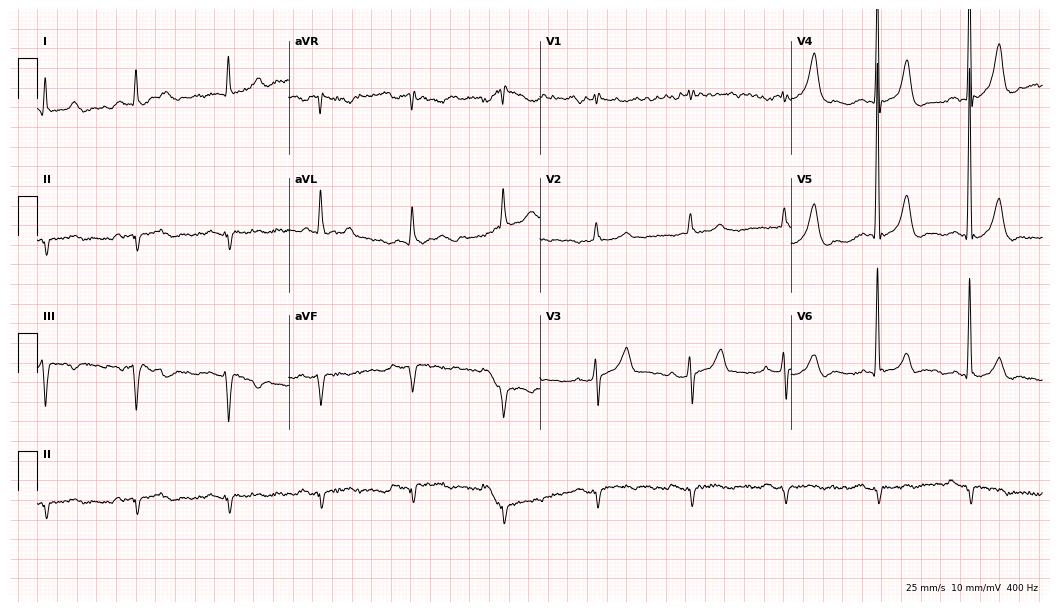
12-lead ECG from a male patient, 78 years old (10.2-second recording at 400 Hz). No first-degree AV block, right bundle branch block, left bundle branch block, sinus bradycardia, atrial fibrillation or sinus tachycardia recorded for this tracing. Only these six findings were labelled.